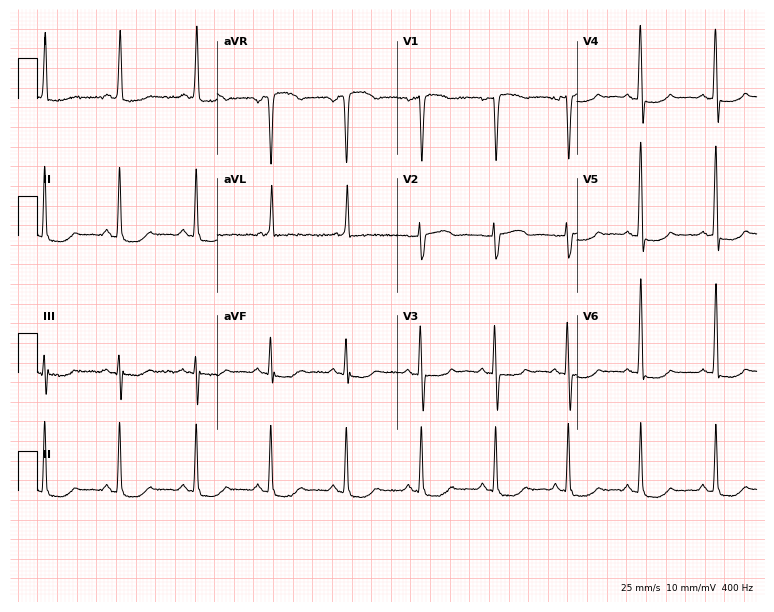
Standard 12-lead ECG recorded from a 59-year-old female patient. None of these six findings is recorded: first-degree AV block, right bundle branch block, left bundle branch block, sinus bradycardia, atrial fibrillation, sinus tachycardia. Other findings, if any, are not listed.